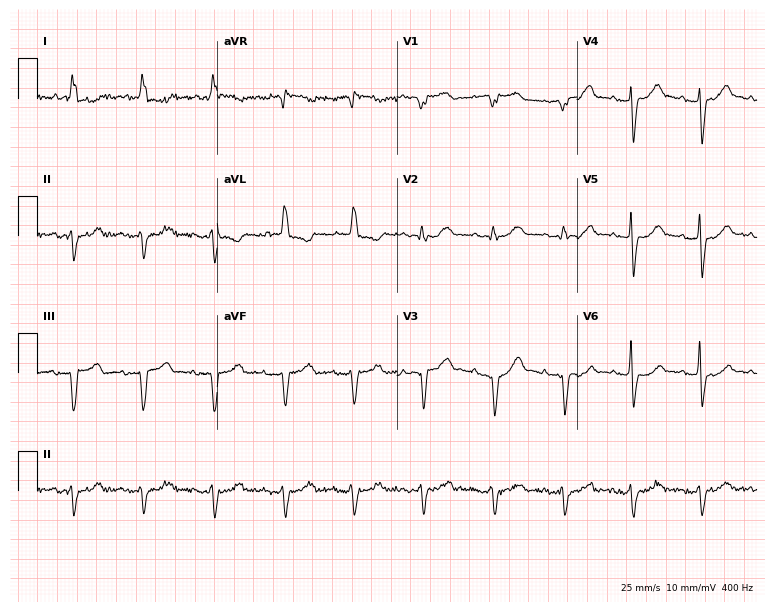
Resting 12-lead electrocardiogram. Patient: a 77-year-old male. None of these six findings is recorded: first-degree AV block, right bundle branch block, left bundle branch block, sinus bradycardia, atrial fibrillation, sinus tachycardia.